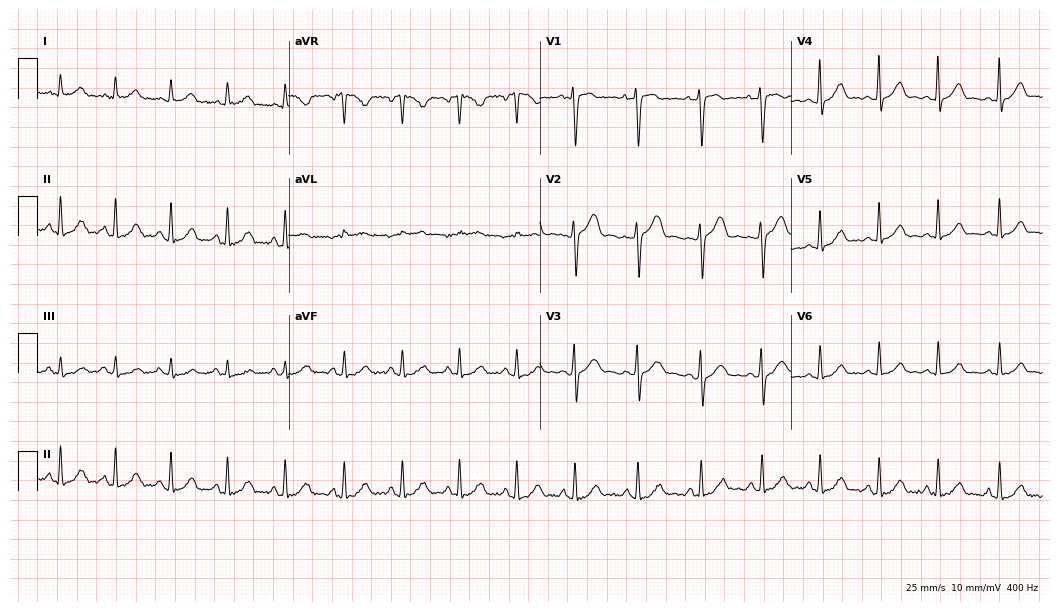
12-lead ECG from a 42-year-old female patient (10.2-second recording at 400 Hz). Shows sinus tachycardia (a sinus rate of 100 beats per minute or more).